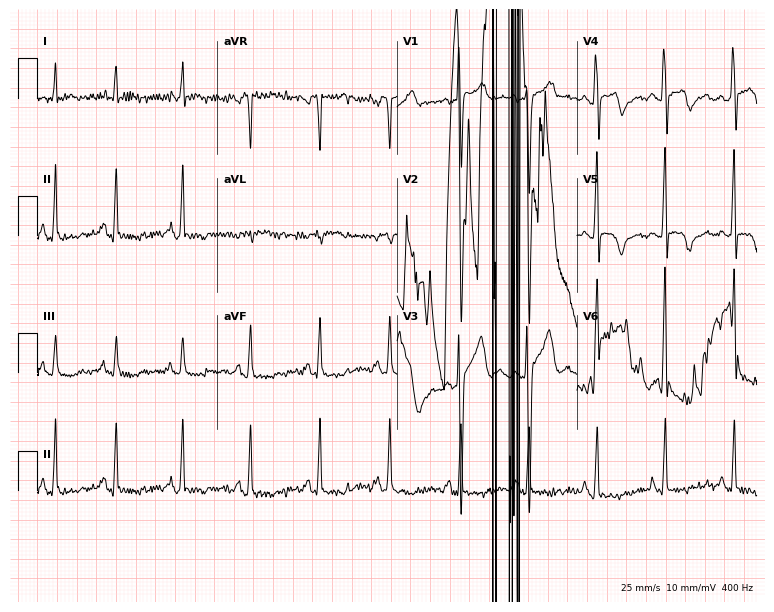
Electrocardiogram (7.3-second recording at 400 Hz), a male patient, 35 years old. Of the six screened findings (first-degree AV block, right bundle branch block, left bundle branch block, sinus bradycardia, atrial fibrillation, sinus tachycardia), none is recorded. Only these six findings were labelled.